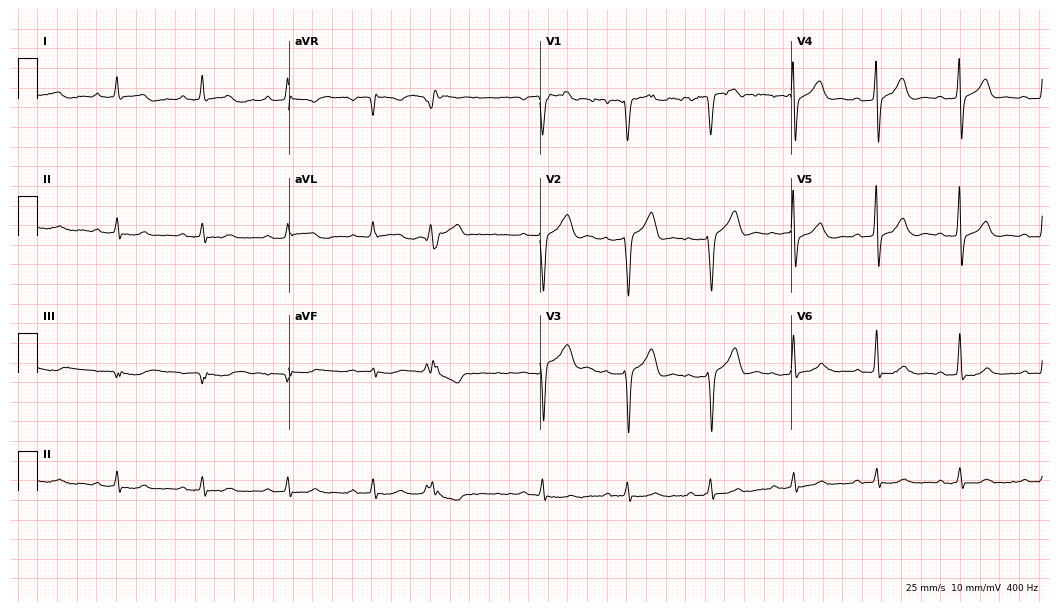
12-lead ECG from a female patient, 31 years old. Screened for six findings — first-degree AV block, right bundle branch block, left bundle branch block, sinus bradycardia, atrial fibrillation, sinus tachycardia — none is recorded. Only these six findings were labelled.